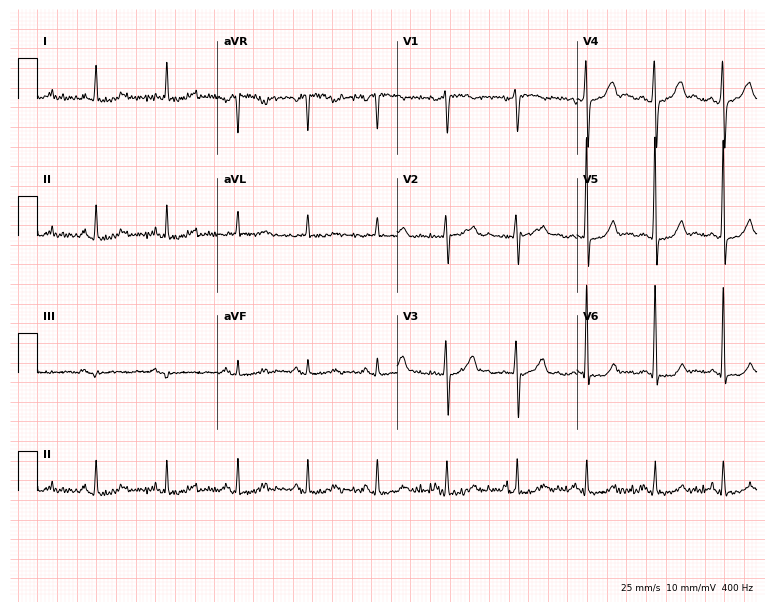
Electrocardiogram, a woman, 66 years old. Of the six screened findings (first-degree AV block, right bundle branch block, left bundle branch block, sinus bradycardia, atrial fibrillation, sinus tachycardia), none is recorded.